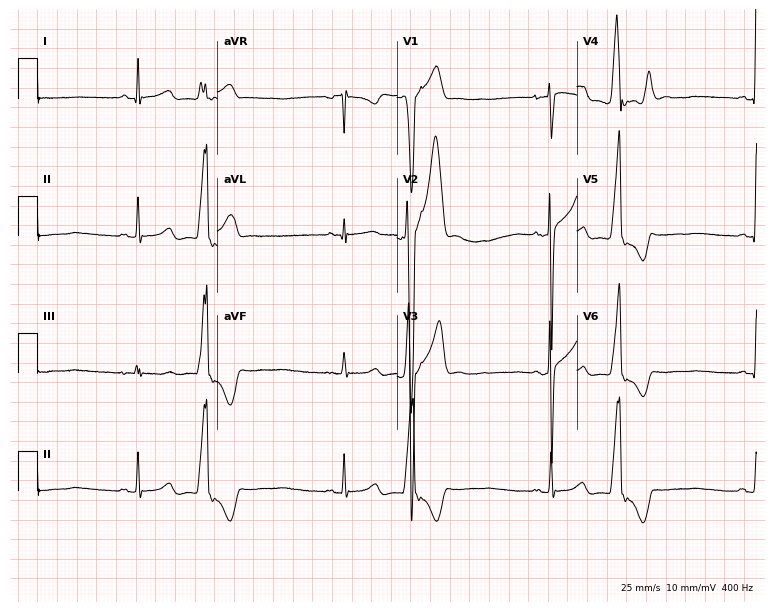
Standard 12-lead ECG recorded from a man, 18 years old (7.3-second recording at 400 Hz). None of these six findings is recorded: first-degree AV block, right bundle branch block, left bundle branch block, sinus bradycardia, atrial fibrillation, sinus tachycardia. Findings outside these six are not listed.